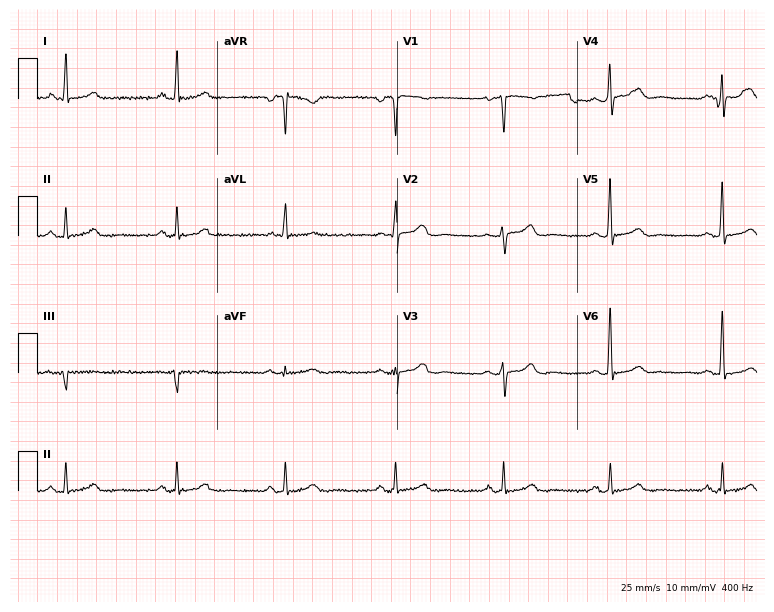
Resting 12-lead electrocardiogram (7.3-second recording at 400 Hz). Patient: a female, 44 years old. Read as a normal ECG.